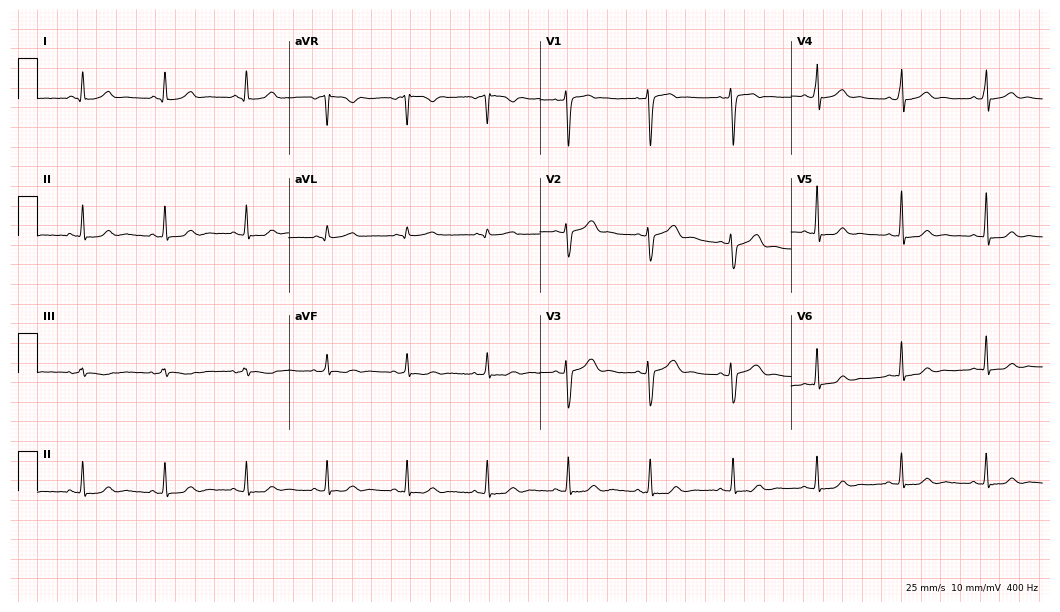
Resting 12-lead electrocardiogram. Patient: a woman, 47 years old. Read as a normal ECG.